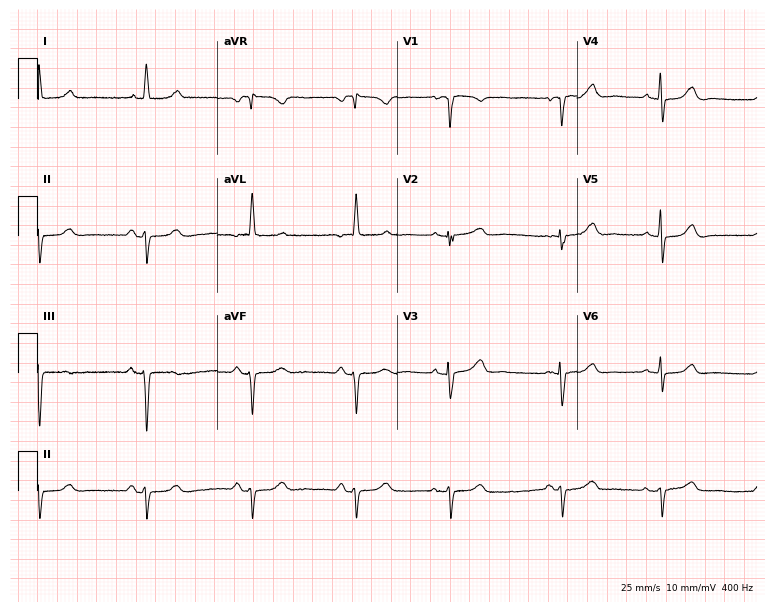
ECG (7.3-second recording at 400 Hz) — a female patient, 72 years old. Screened for six findings — first-degree AV block, right bundle branch block, left bundle branch block, sinus bradycardia, atrial fibrillation, sinus tachycardia — none is recorded. Only these six findings were labelled.